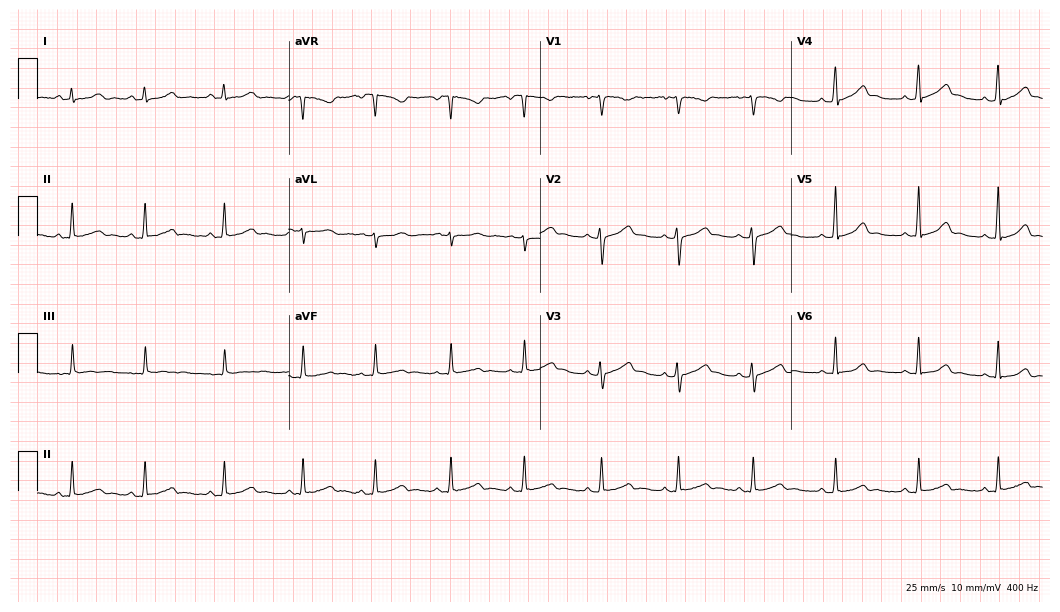
ECG (10.2-second recording at 400 Hz) — a woman, 22 years old. Screened for six findings — first-degree AV block, right bundle branch block, left bundle branch block, sinus bradycardia, atrial fibrillation, sinus tachycardia — none is recorded. Findings outside these six are not listed.